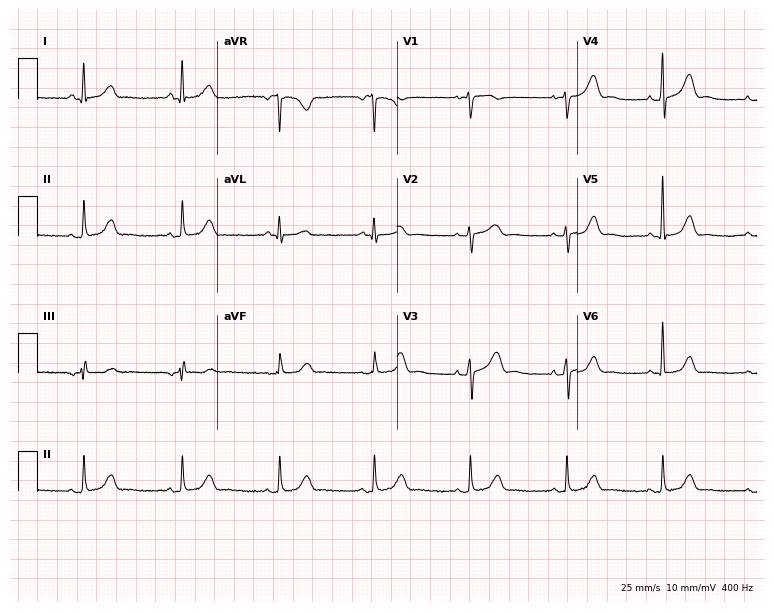
ECG — a 63-year-old woman. Labelled as a normal ECG.